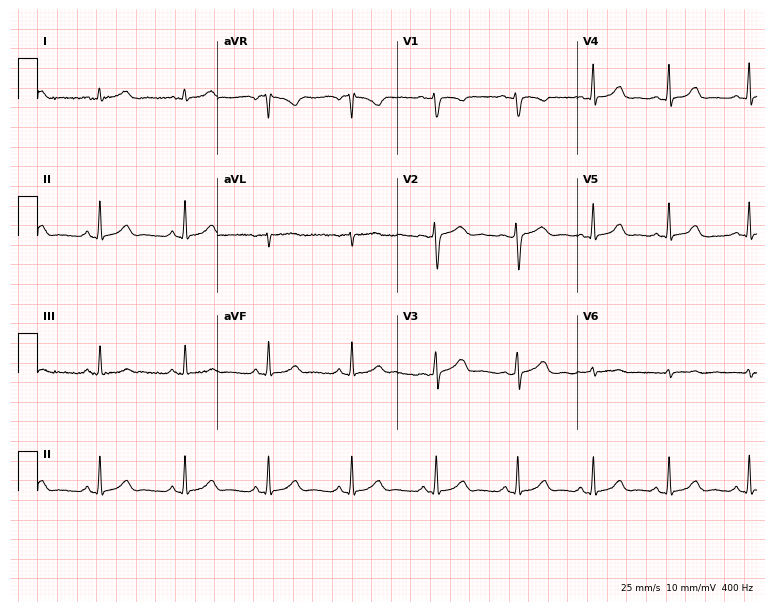
12-lead ECG (7.3-second recording at 400 Hz) from a female patient, 35 years old. Labelled as a normal ECG.